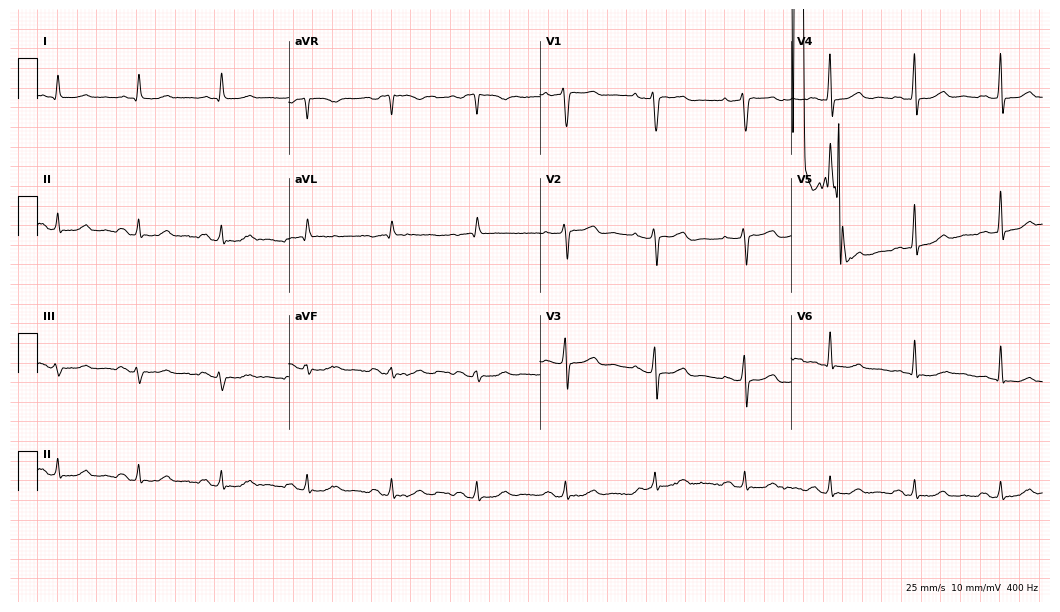
Standard 12-lead ECG recorded from a female, 57 years old. Read as a normal ECG.